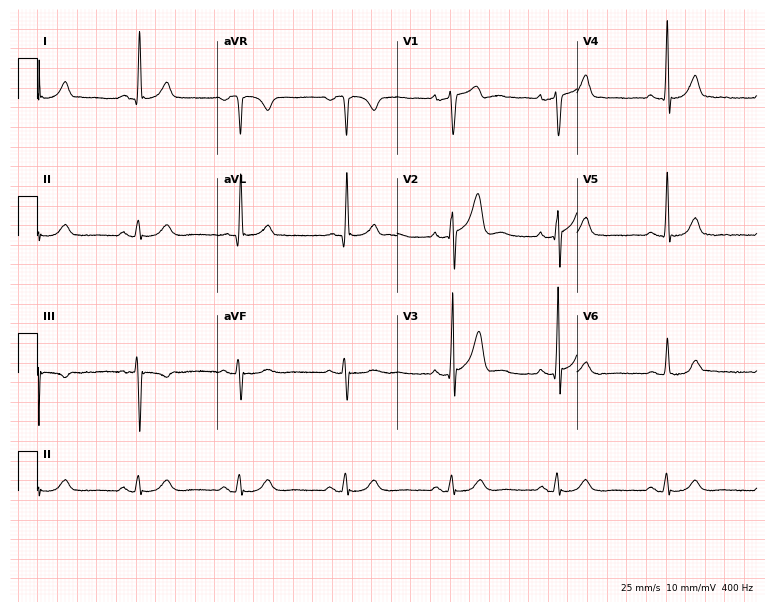
12-lead ECG from a male, 52 years old. No first-degree AV block, right bundle branch block (RBBB), left bundle branch block (LBBB), sinus bradycardia, atrial fibrillation (AF) or sinus tachycardia recorded for this tracing.